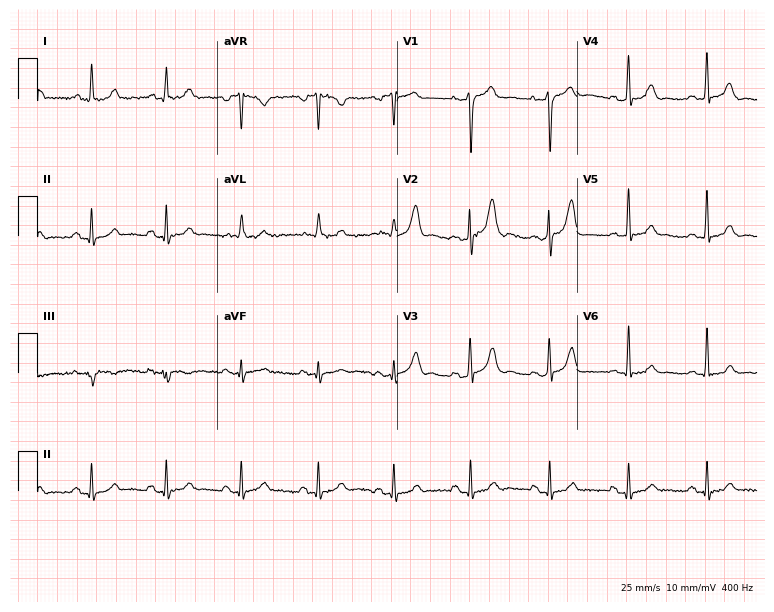
ECG — a male, 30 years old. Labelled as a normal ECG.